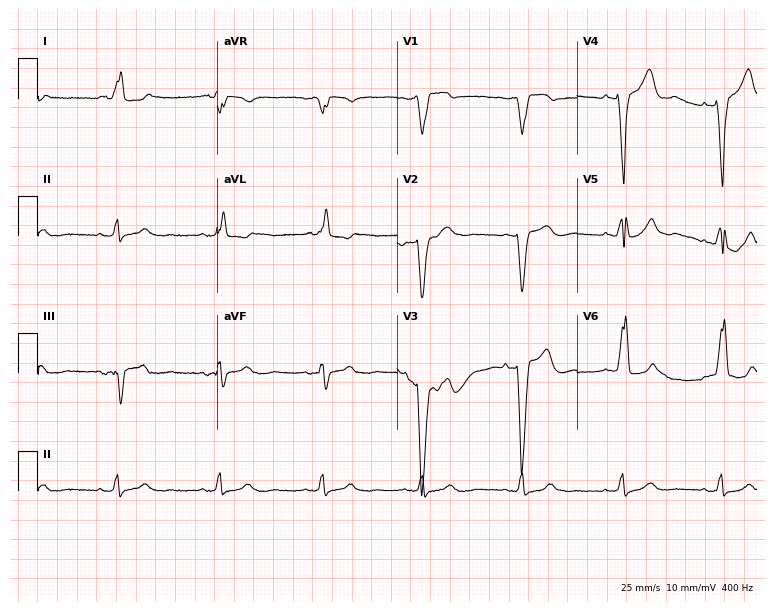
12-lead ECG from an 80-year-old male (7.3-second recording at 400 Hz). Shows left bundle branch block.